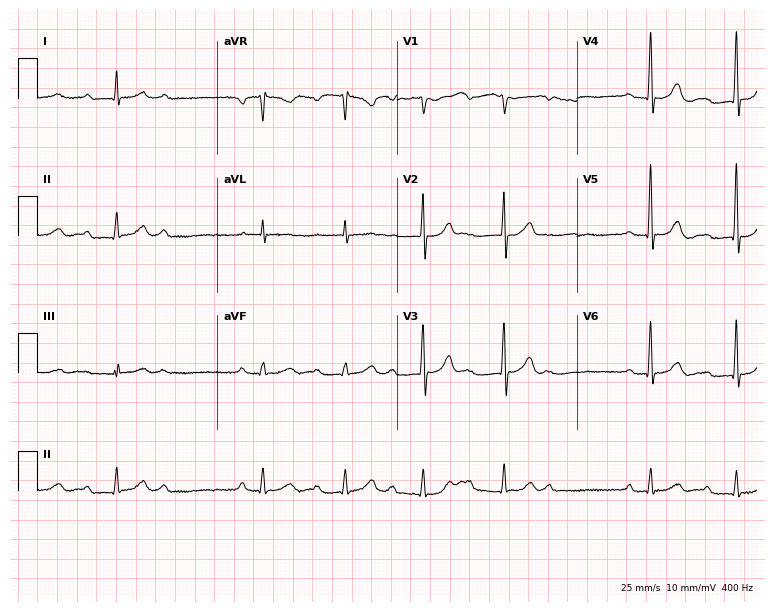
12-lead ECG from a man, 67 years old. Screened for six findings — first-degree AV block, right bundle branch block, left bundle branch block, sinus bradycardia, atrial fibrillation, sinus tachycardia — none is recorded.